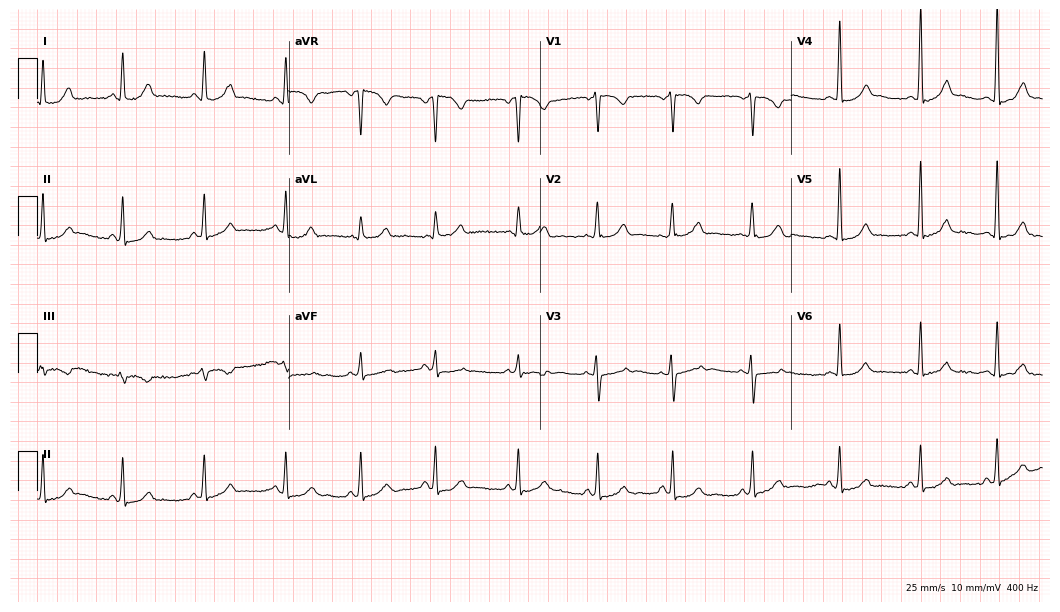
ECG (10.2-second recording at 400 Hz) — a 22-year-old female. Screened for six findings — first-degree AV block, right bundle branch block, left bundle branch block, sinus bradycardia, atrial fibrillation, sinus tachycardia — none is recorded.